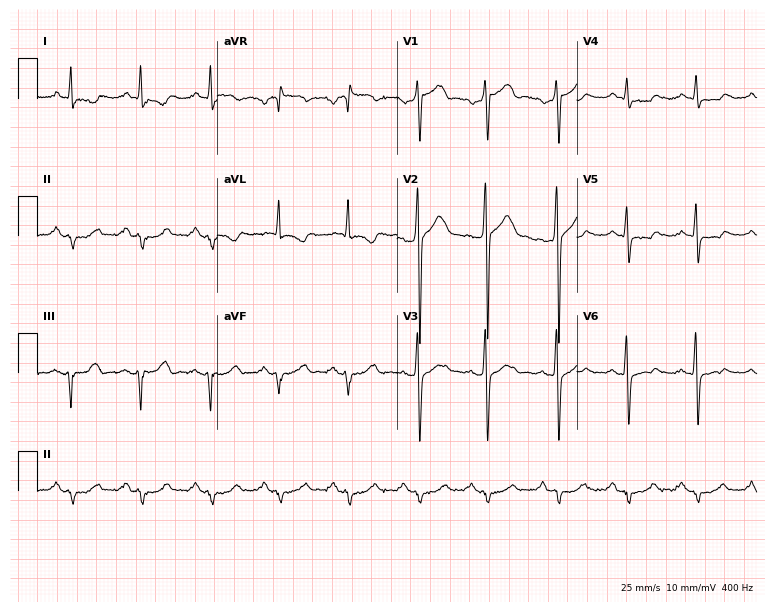
Electrocardiogram, a man, 47 years old. Of the six screened findings (first-degree AV block, right bundle branch block (RBBB), left bundle branch block (LBBB), sinus bradycardia, atrial fibrillation (AF), sinus tachycardia), none is recorded. Other findings, if any, are not listed.